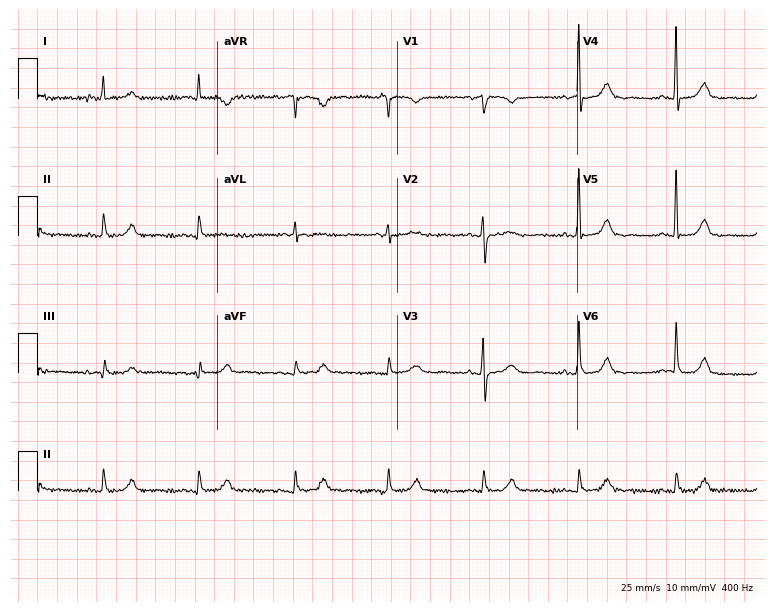
Standard 12-lead ECG recorded from a female, 84 years old (7.3-second recording at 400 Hz). Read as a normal ECG.